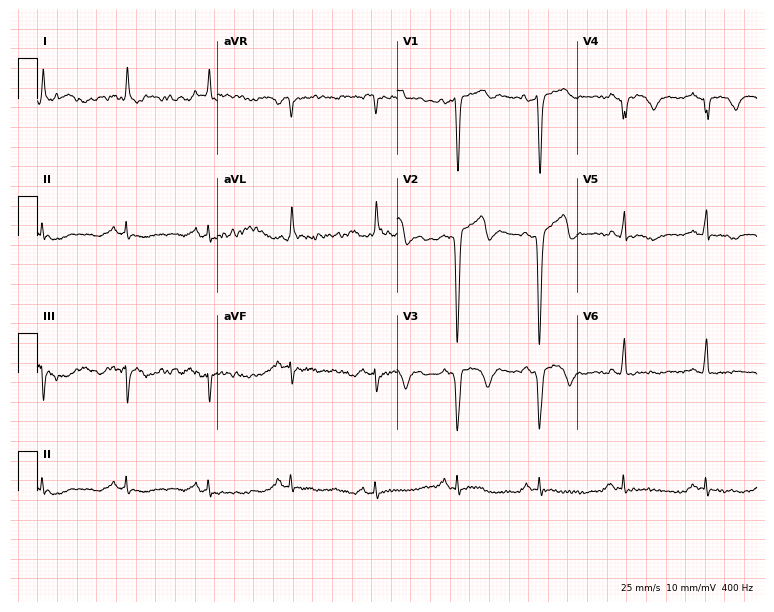
12-lead ECG from a male patient, 71 years old (7.3-second recording at 400 Hz). No first-degree AV block, right bundle branch block, left bundle branch block, sinus bradycardia, atrial fibrillation or sinus tachycardia recorded for this tracing.